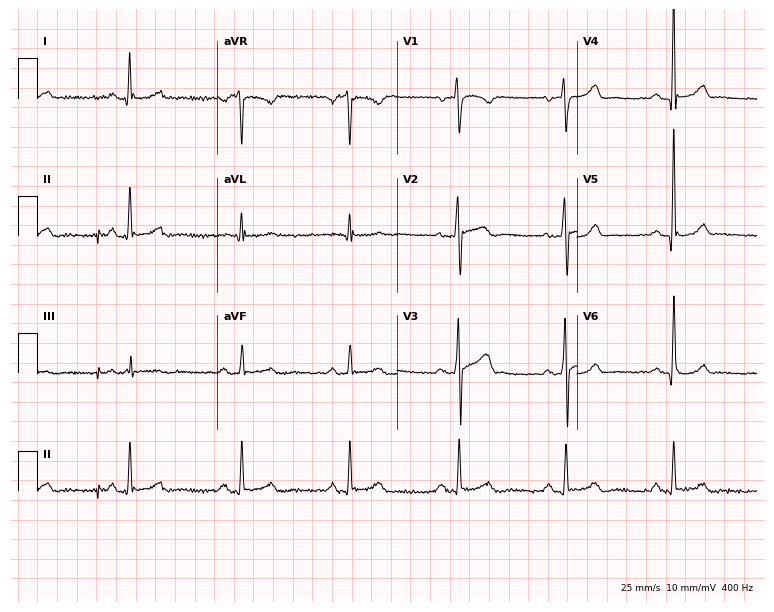
Electrocardiogram, a man, 43 years old. Of the six screened findings (first-degree AV block, right bundle branch block (RBBB), left bundle branch block (LBBB), sinus bradycardia, atrial fibrillation (AF), sinus tachycardia), none is recorded. Only these six findings were labelled.